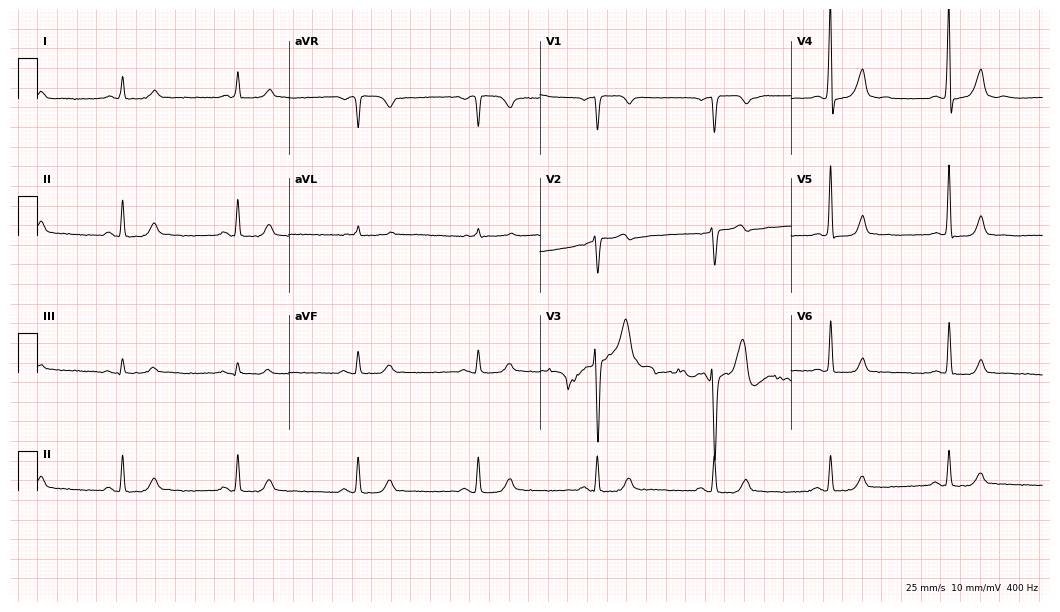
12-lead ECG (10.2-second recording at 400 Hz) from a 69-year-old man. Labelled as a normal ECG.